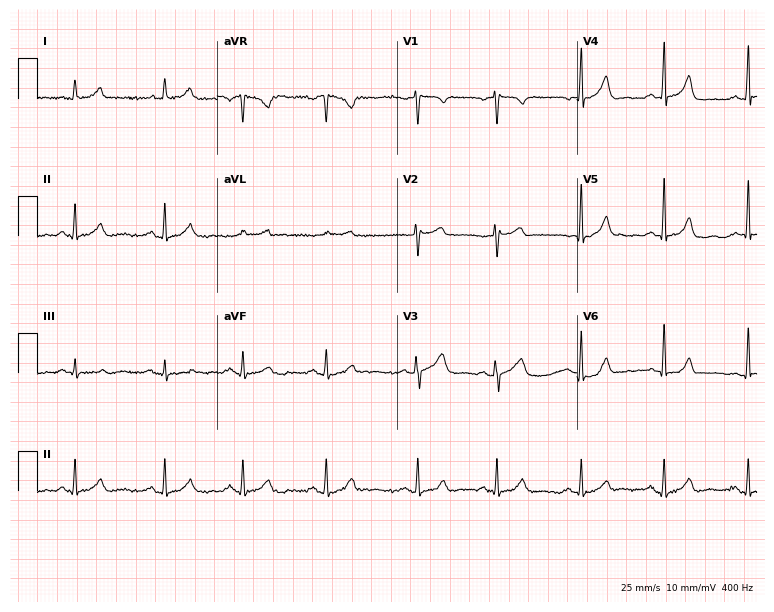
Resting 12-lead electrocardiogram (7.3-second recording at 400 Hz). Patient: a 54-year-old female. Read as a normal ECG.